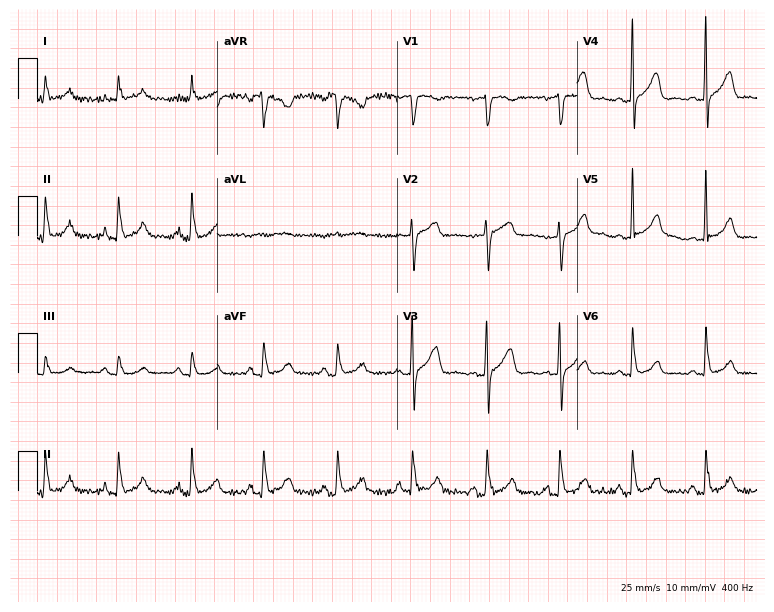
Standard 12-lead ECG recorded from a woman, 81 years old (7.3-second recording at 400 Hz). Read as a normal ECG.